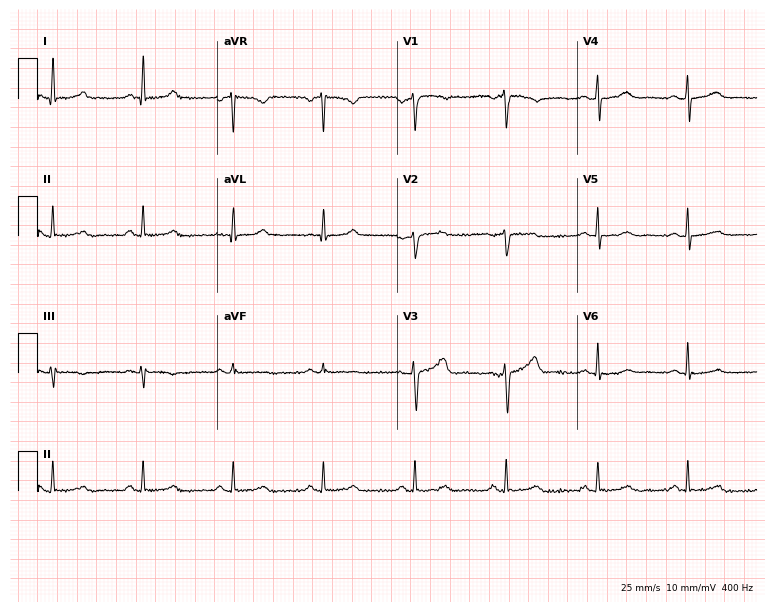
Standard 12-lead ECG recorded from a 50-year-old female. Read as a normal ECG.